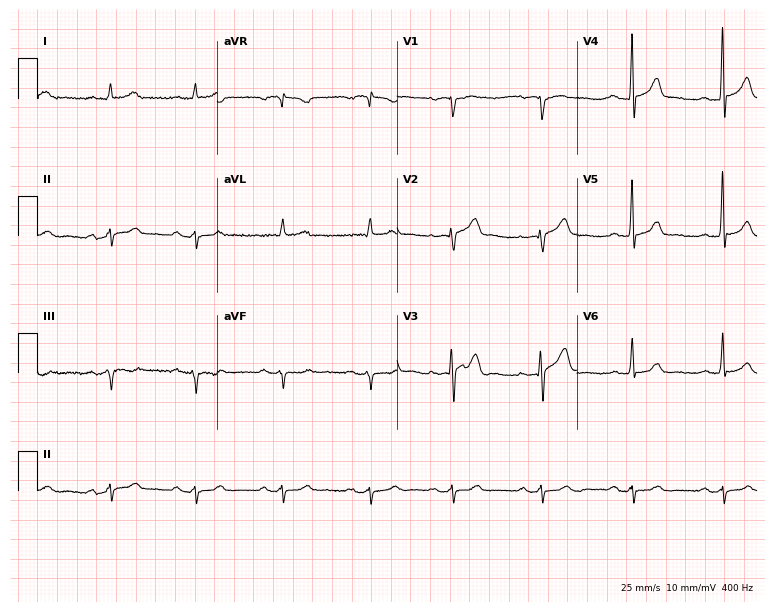
12-lead ECG from a 75-year-old male (7.3-second recording at 400 Hz). No first-degree AV block, right bundle branch block, left bundle branch block, sinus bradycardia, atrial fibrillation or sinus tachycardia recorded for this tracing.